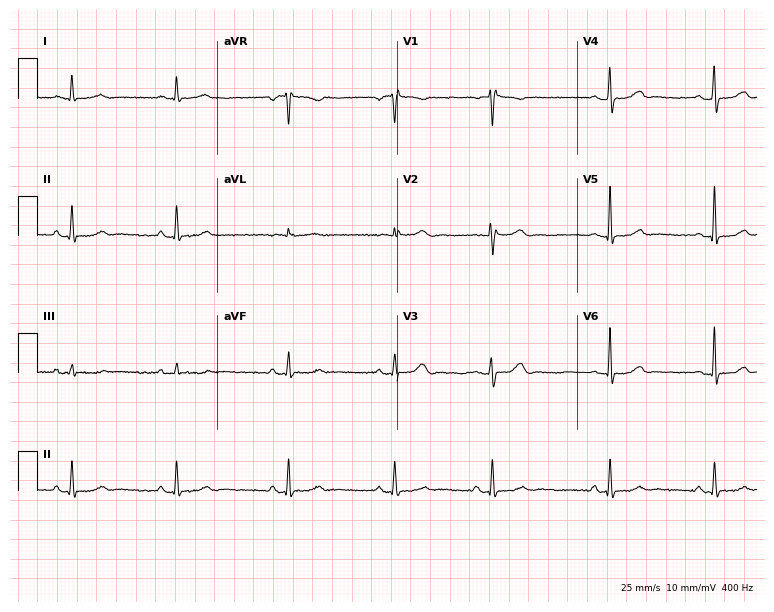
12-lead ECG from a woman, 40 years old. Labelled as a normal ECG.